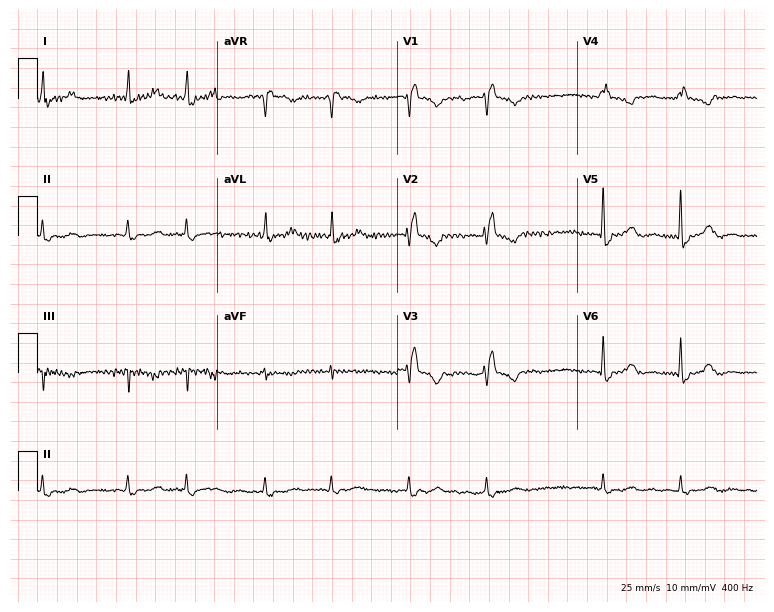
ECG (7.3-second recording at 400 Hz) — a 76-year-old female. Findings include right bundle branch block (RBBB), atrial fibrillation (AF).